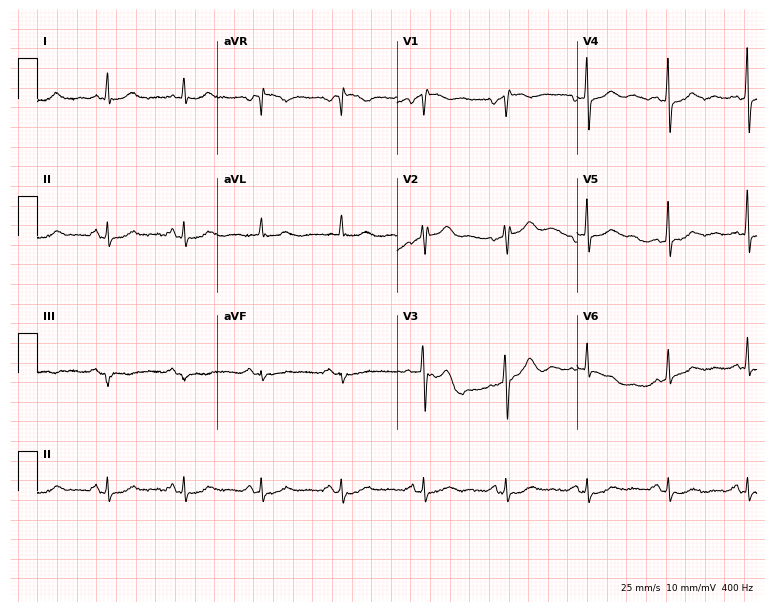
12-lead ECG (7.3-second recording at 400 Hz) from a 63-year-old female. Screened for six findings — first-degree AV block, right bundle branch block, left bundle branch block, sinus bradycardia, atrial fibrillation, sinus tachycardia — none is recorded. Only these six findings were labelled.